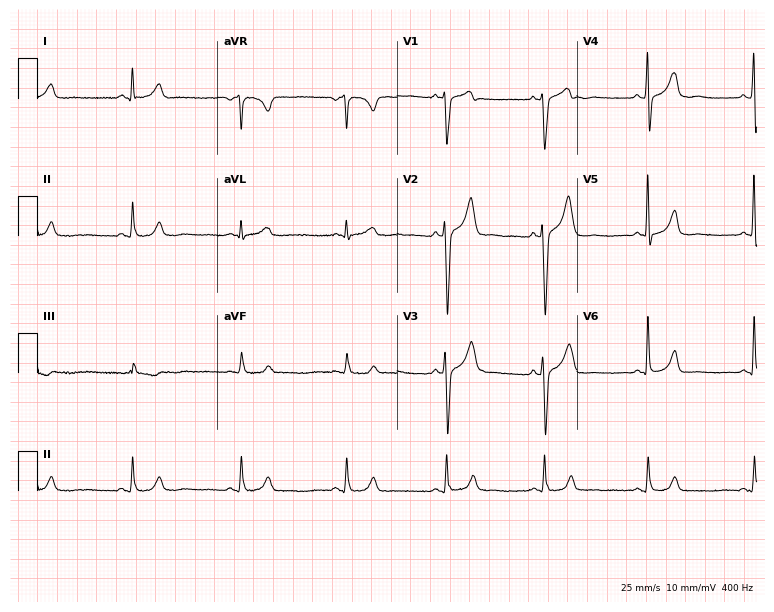
12-lead ECG from a 48-year-old male (7.3-second recording at 400 Hz). Recorded interpretation: within normal limits.